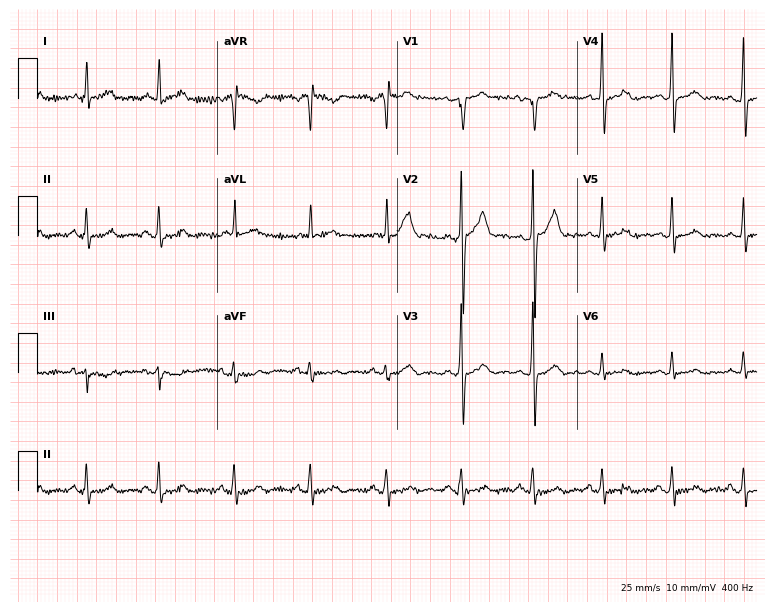
Electrocardiogram, a 59-year-old man. Of the six screened findings (first-degree AV block, right bundle branch block (RBBB), left bundle branch block (LBBB), sinus bradycardia, atrial fibrillation (AF), sinus tachycardia), none is recorded.